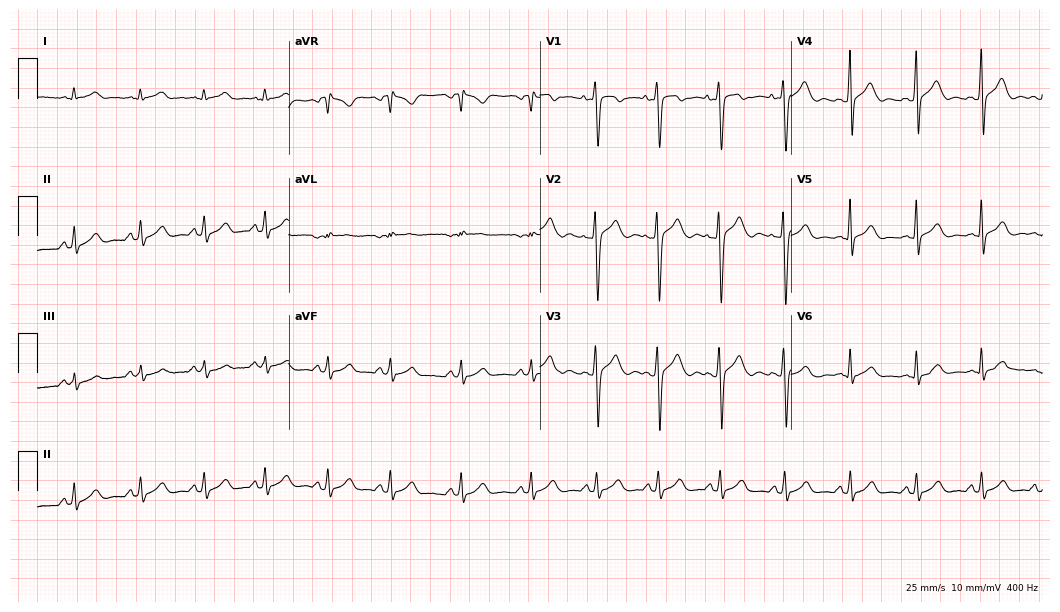
12-lead ECG from a male, 20 years old. Recorded interpretation: within normal limits.